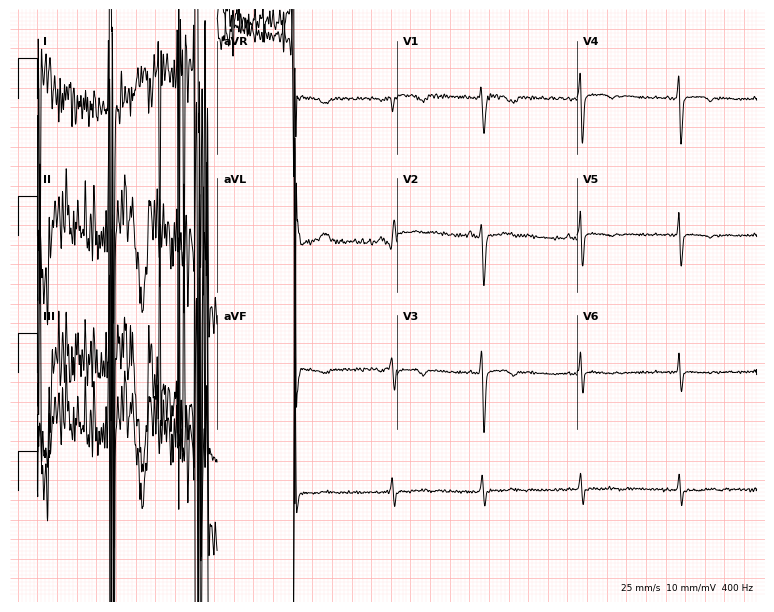
Electrocardiogram, a female, 29 years old. Of the six screened findings (first-degree AV block, right bundle branch block, left bundle branch block, sinus bradycardia, atrial fibrillation, sinus tachycardia), none is recorded. Other findings, if any, are not listed.